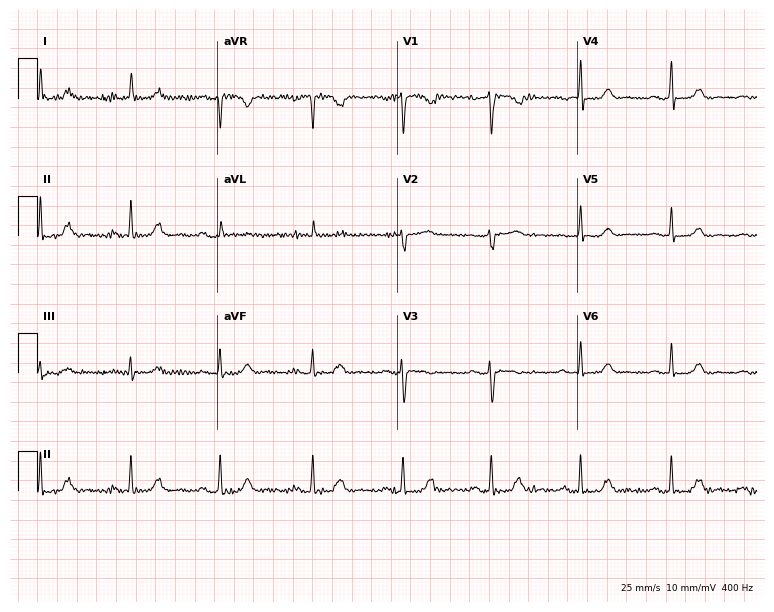
ECG — a female, 60 years old. Labelled as a normal ECG.